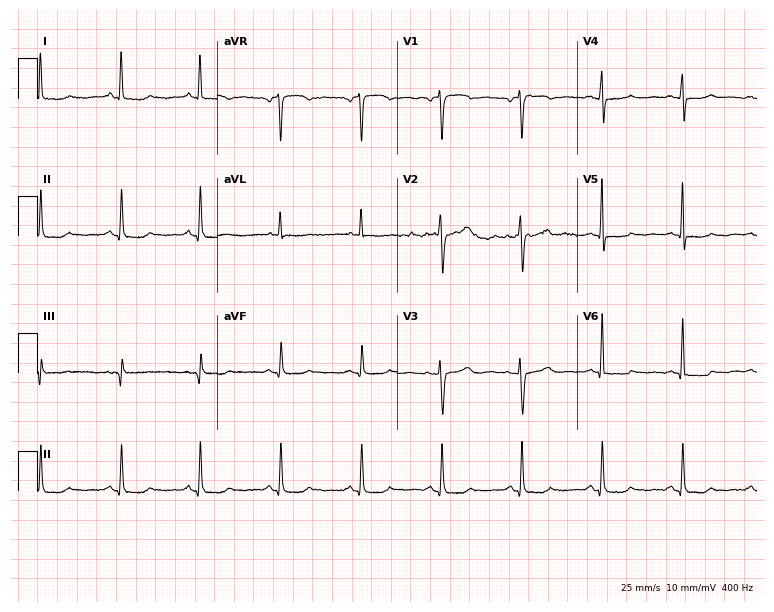
Standard 12-lead ECG recorded from a woman, 51 years old. None of these six findings is recorded: first-degree AV block, right bundle branch block, left bundle branch block, sinus bradycardia, atrial fibrillation, sinus tachycardia. Findings outside these six are not listed.